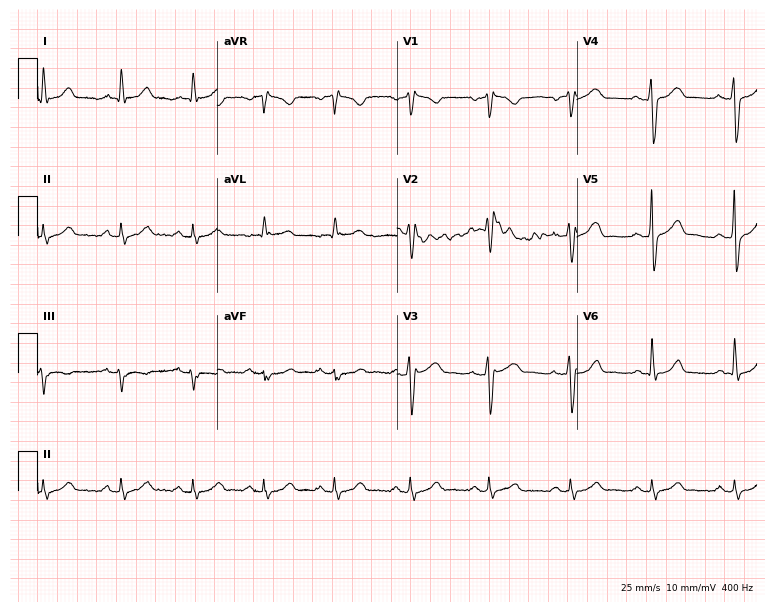
12-lead ECG (7.3-second recording at 400 Hz) from a man, 47 years old. Screened for six findings — first-degree AV block, right bundle branch block, left bundle branch block, sinus bradycardia, atrial fibrillation, sinus tachycardia — none is recorded.